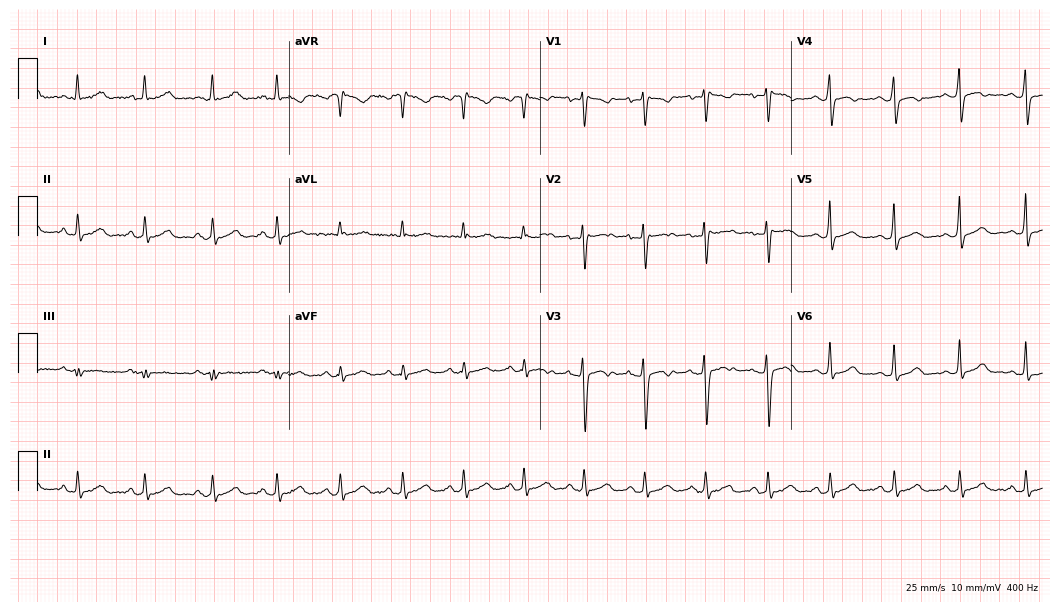
Standard 12-lead ECG recorded from a female patient, 21 years old. Read as a normal ECG.